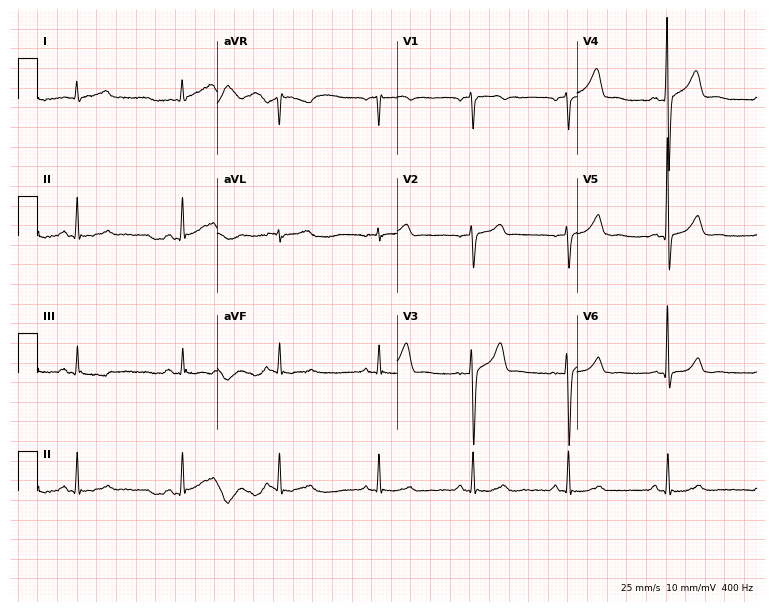
12-lead ECG from a 55-year-old man (7.3-second recording at 400 Hz). No first-degree AV block, right bundle branch block, left bundle branch block, sinus bradycardia, atrial fibrillation or sinus tachycardia recorded for this tracing.